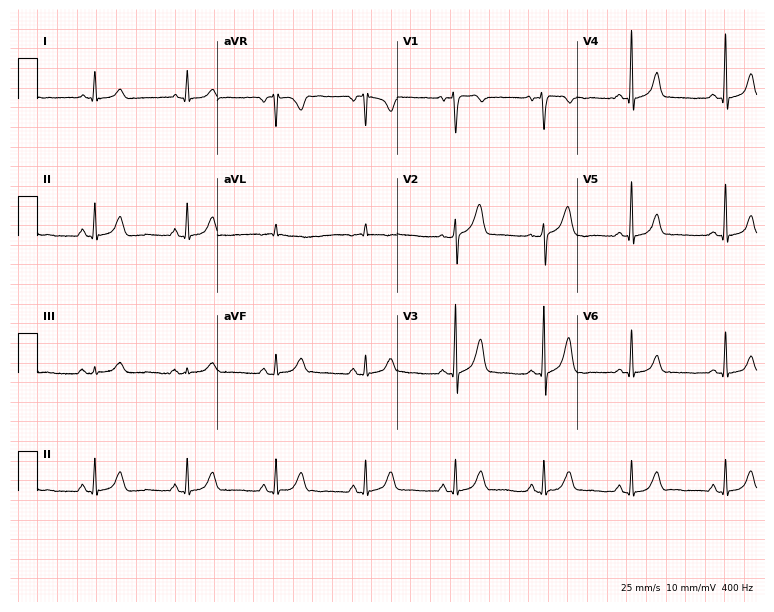
Resting 12-lead electrocardiogram (7.3-second recording at 400 Hz). Patient: a female, 65 years old. Read as a normal ECG.